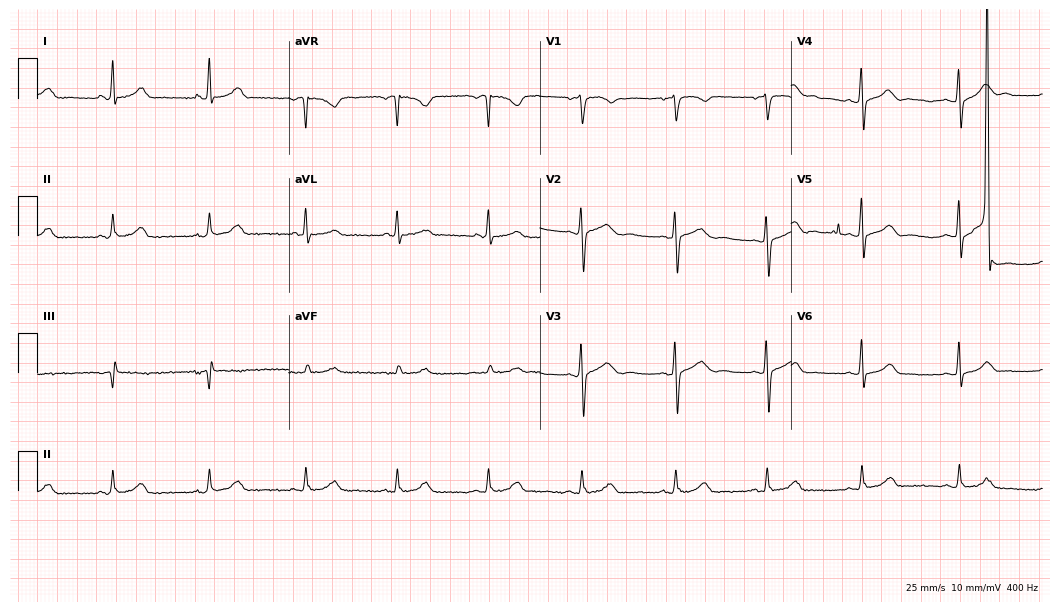
Standard 12-lead ECG recorded from a 45-year-old woman. Read as a normal ECG.